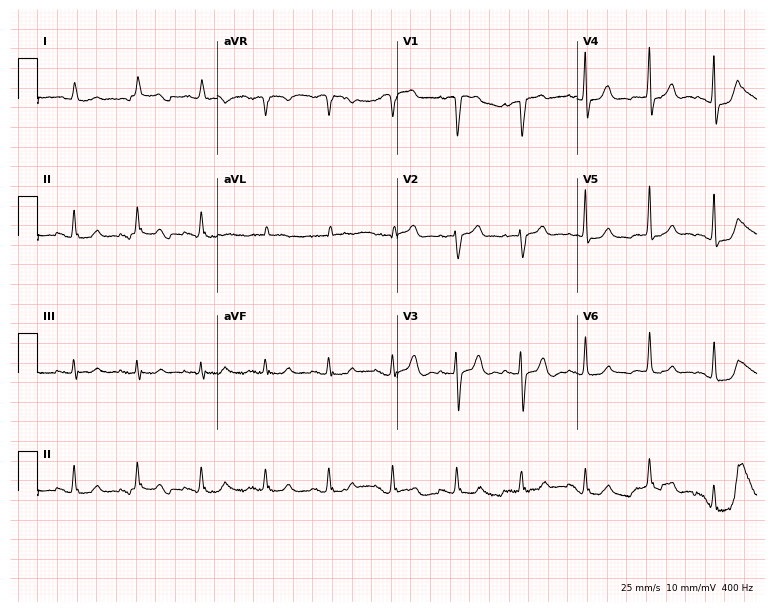
Resting 12-lead electrocardiogram. Patient: a 79-year-old female. None of these six findings is recorded: first-degree AV block, right bundle branch block (RBBB), left bundle branch block (LBBB), sinus bradycardia, atrial fibrillation (AF), sinus tachycardia. Only these six findings were labelled.